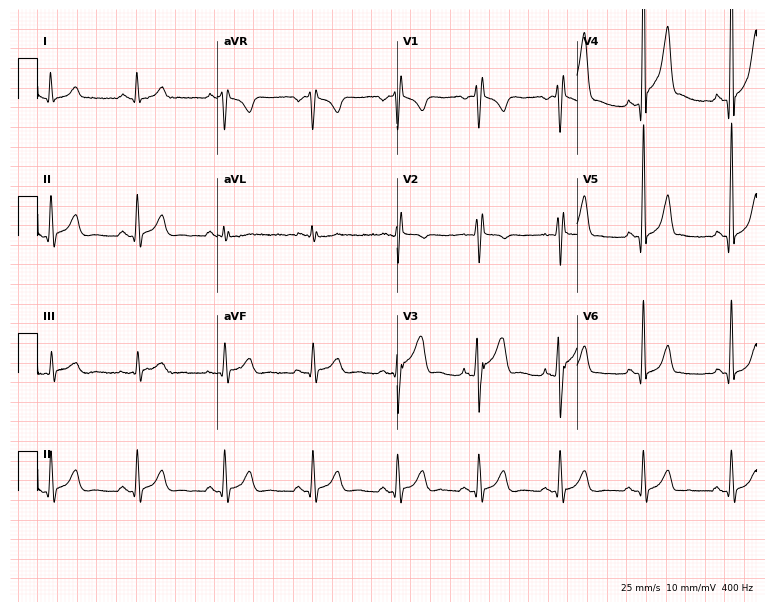
Standard 12-lead ECG recorded from a 38-year-old male (7.3-second recording at 400 Hz). None of these six findings is recorded: first-degree AV block, right bundle branch block (RBBB), left bundle branch block (LBBB), sinus bradycardia, atrial fibrillation (AF), sinus tachycardia. Findings outside these six are not listed.